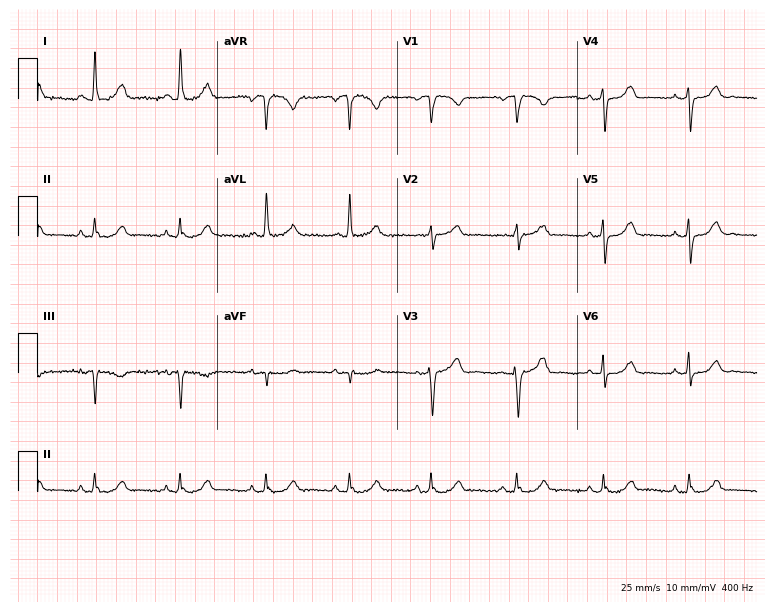
12-lead ECG (7.3-second recording at 400 Hz) from a woman, 78 years old. Labelled as a normal ECG.